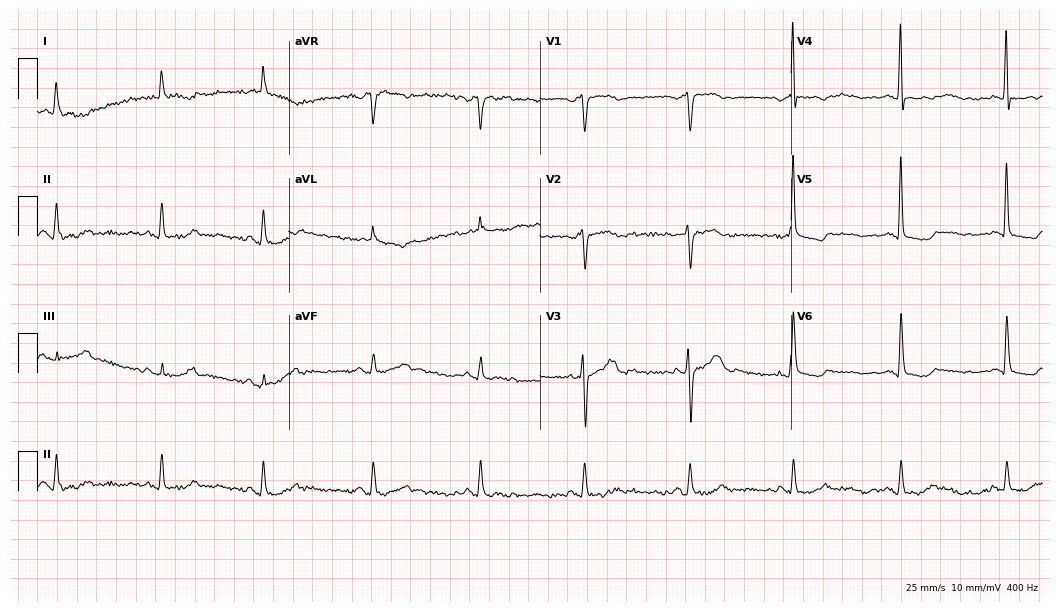
Electrocardiogram, a 77-year-old male patient. Of the six screened findings (first-degree AV block, right bundle branch block (RBBB), left bundle branch block (LBBB), sinus bradycardia, atrial fibrillation (AF), sinus tachycardia), none is recorded.